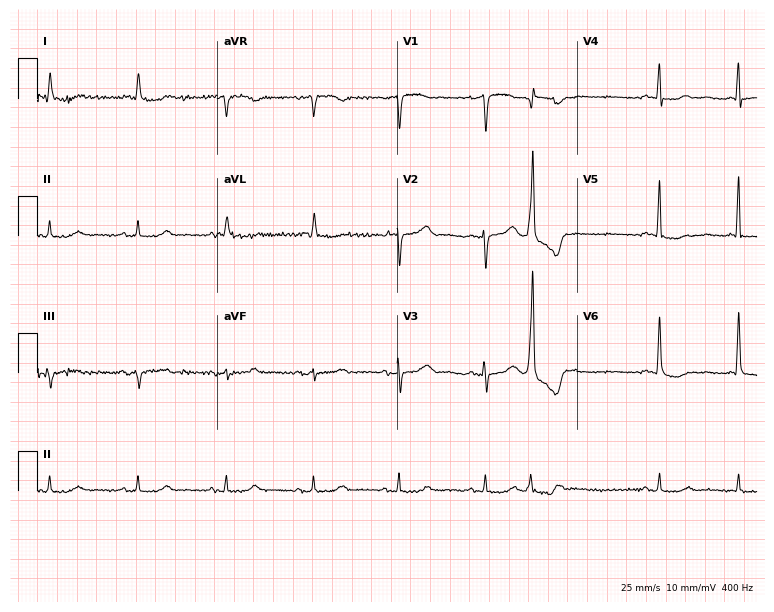
Resting 12-lead electrocardiogram. Patient: a female, 85 years old. None of these six findings is recorded: first-degree AV block, right bundle branch block, left bundle branch block, sinus bradycardia, atrial fibrillation, sinus tachycardia. Findings outside these six are not listed.